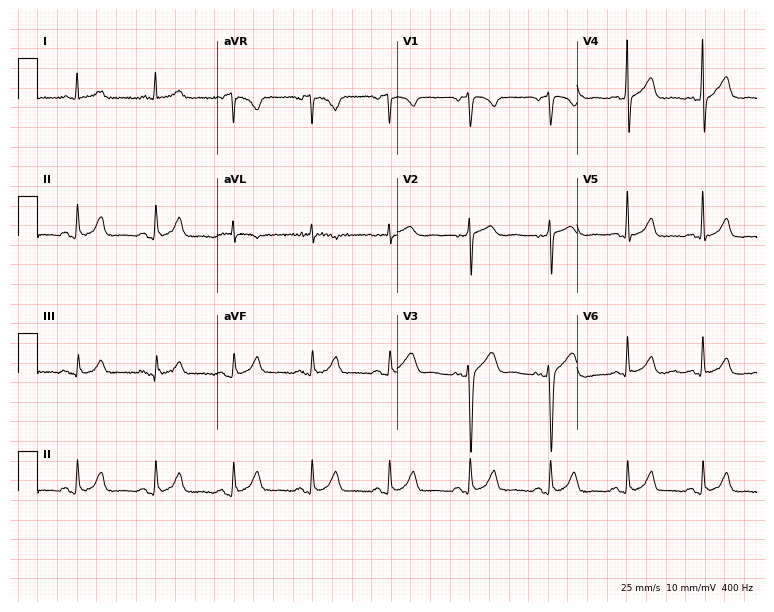
Electrocardiogram (7.3-second recording at 400 Hz), a male, 51 years old. Of the six screened findings (first-degree AV block, right bundle branch block, left bundle branch block, sinus bradycardia, atrial fibrillation, sinus tachycardia), none is recorded.